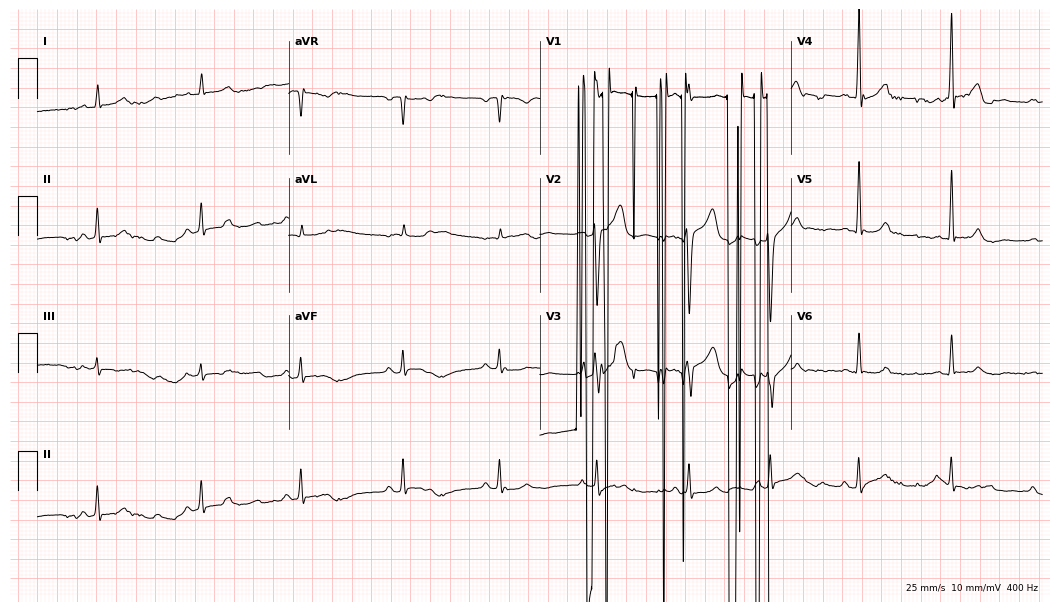
Resting 12-lead electrocardiogram (10.2-second recording at 400 Hz). Patient: a man, 38 years old. None of these six findings is recorded: first-degree AV block, right bundle branch block, left bundle branch block, sinus bradycardia, atrial fibrillation, sinus tachycardia.